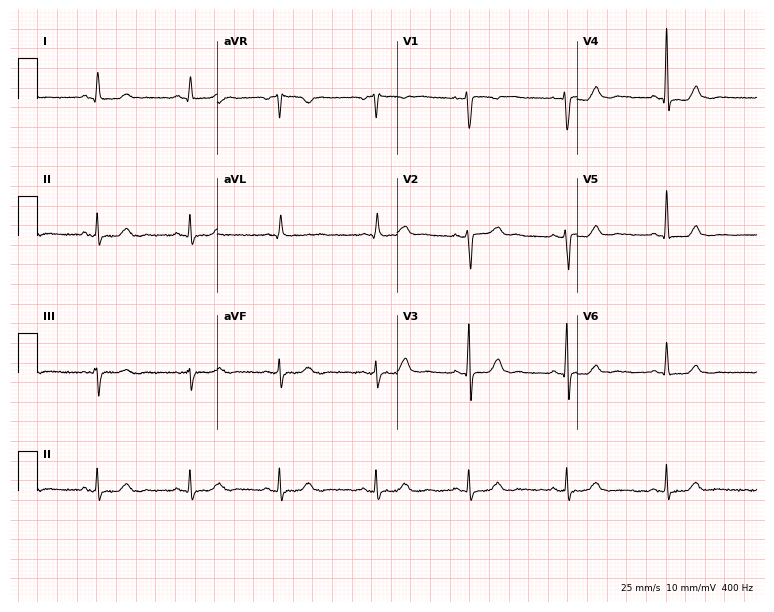
ECG — a female patient, 54 years old. Screened for six findings — first-degree AV block, right bundle branch block, left bundle branch block, sinus bradycardia, atrial fibrillation, sinus tachycardia — none is recorded. Findings outside these six are not listed.